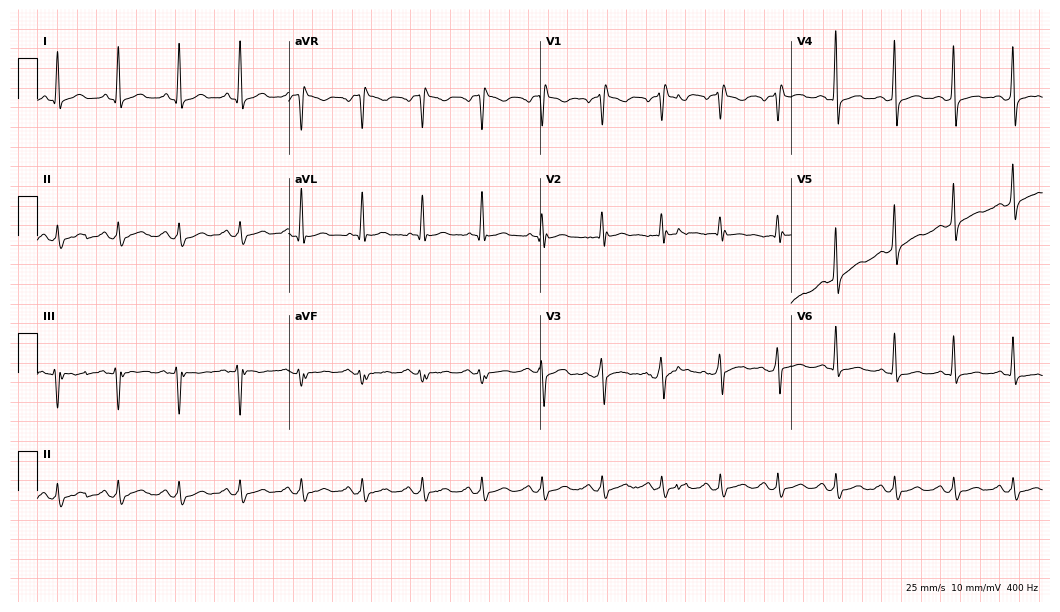
12-lead ECG from a 63-year-old man. No first-degree AV block, right bundle branch block, left bundle branch block, sinus bradycardia, atrial fibrillation or sinus tachycardia recorded for this tracing.